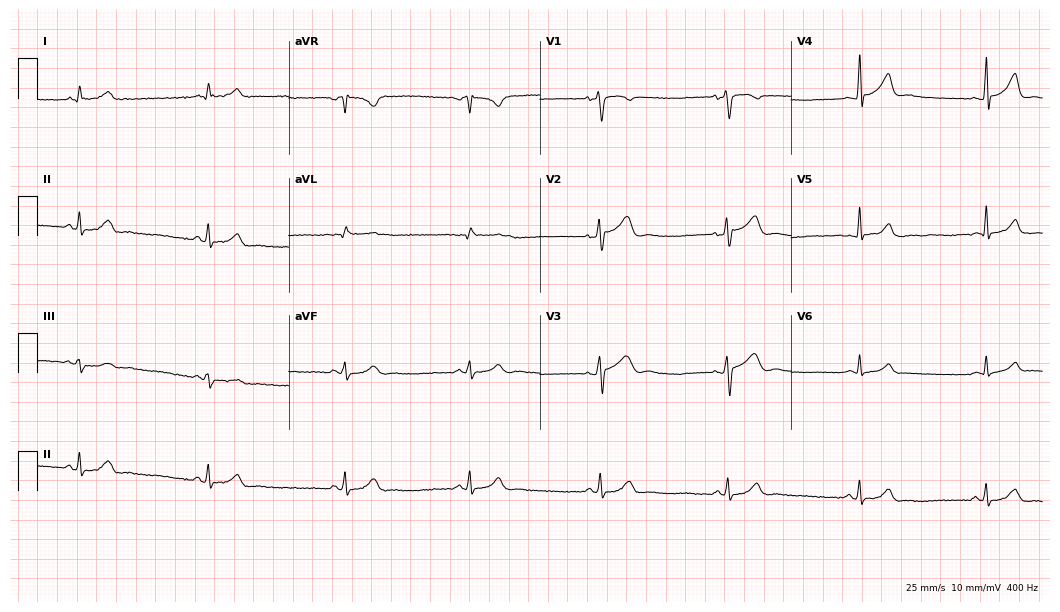
ECG (10.2-second recording at 400 Hz) — a 29-year-old male patient. Labelled as a normal ECG.